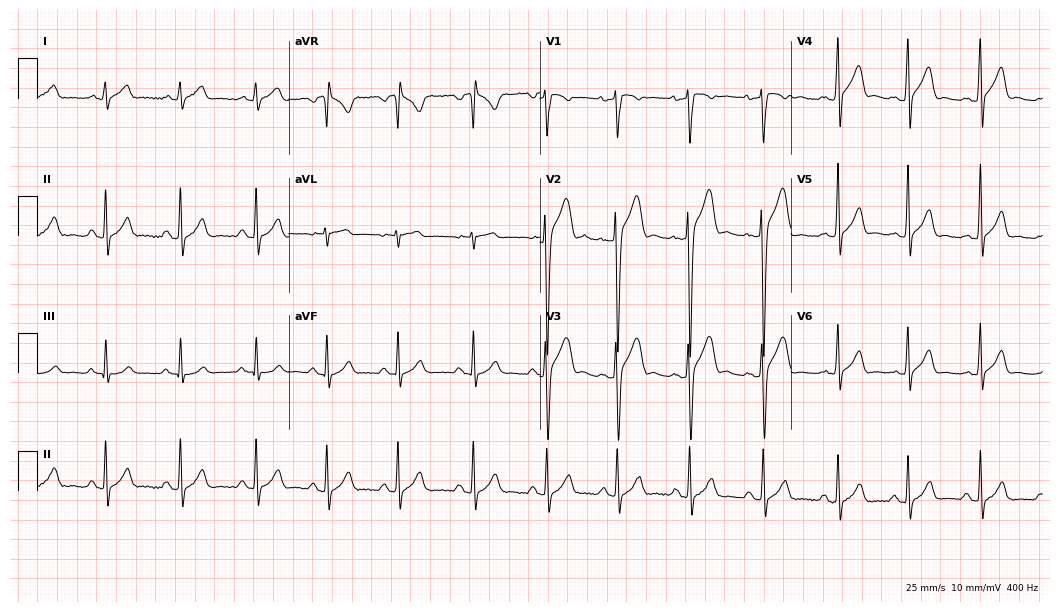
12-lead ECG from a 22-year-old male patient (10.2-second recording at 400 Hz). Recorded interpretation: within normal limits.